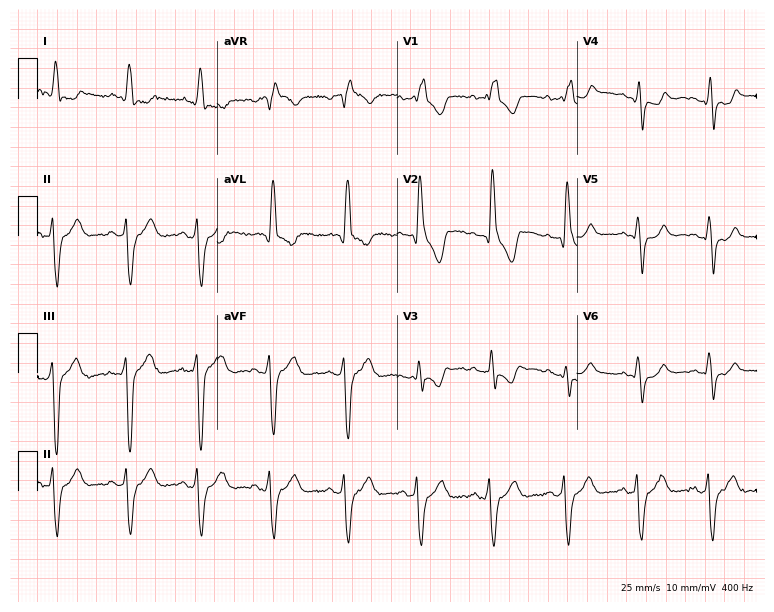
Resting 12-lead electrocardiogram. Patient: a female, 62 years old. The tracing shows right bundle branch block.